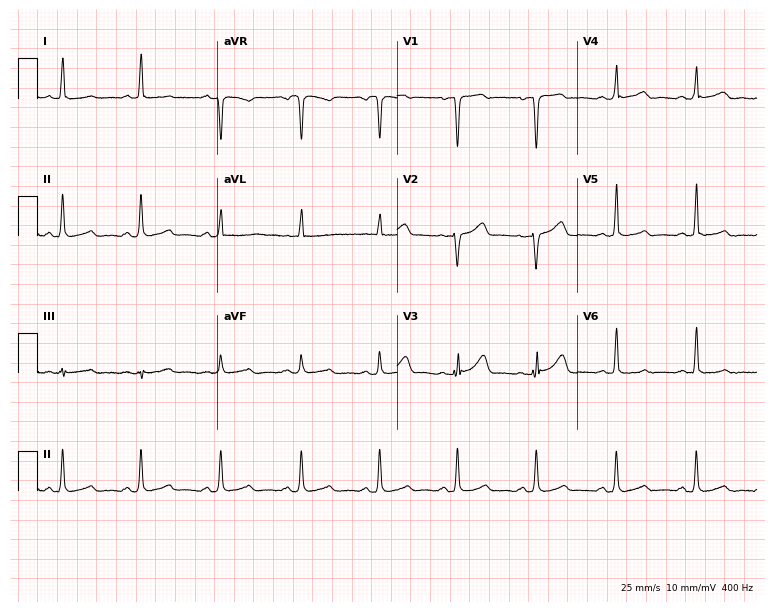
Resting 12-lead electrocardiogram (7.3-second recording at 400 Hz). Patient: a female, 38 years old. Read as a normal ECG.